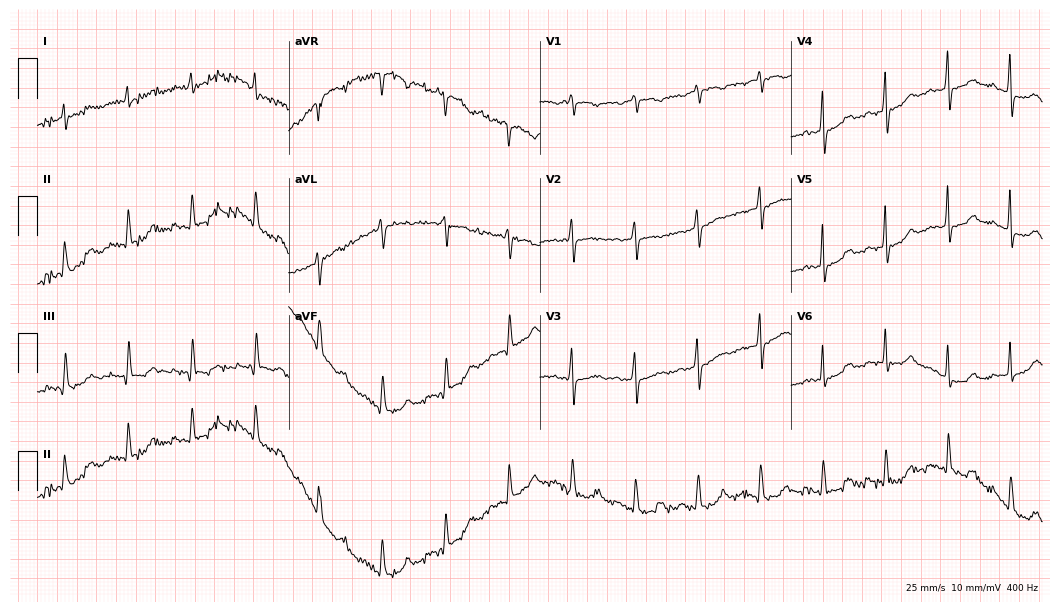
Resting 12-lead electrocardiogram. Patient: a female, 78 years old. None of these six findings is recorded: first-degree AV block, right bundle branch block, left bundle branch block, sinus bradycardia, atrial fibrillation, sinus tachycardia. Other findings, if any, are not listed.